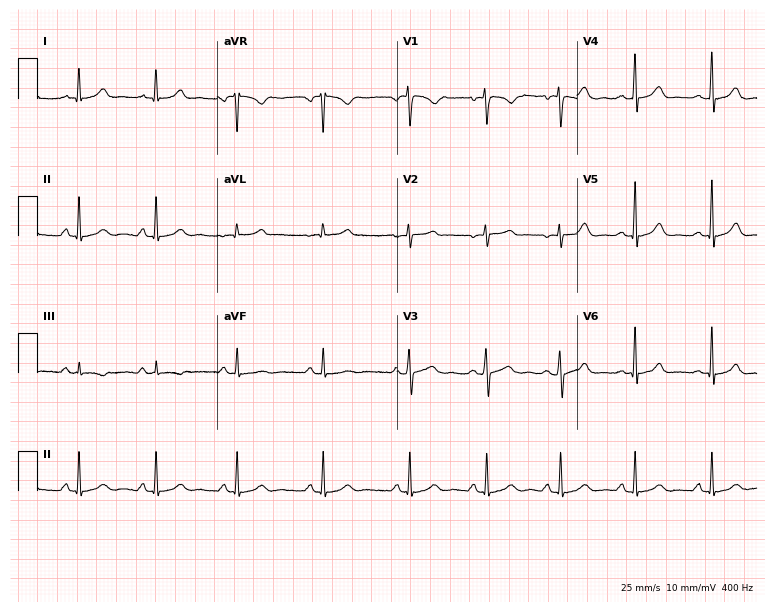
Standard 12-lead ECG recorded from a female, 21 years old. Read as a normal ECG.